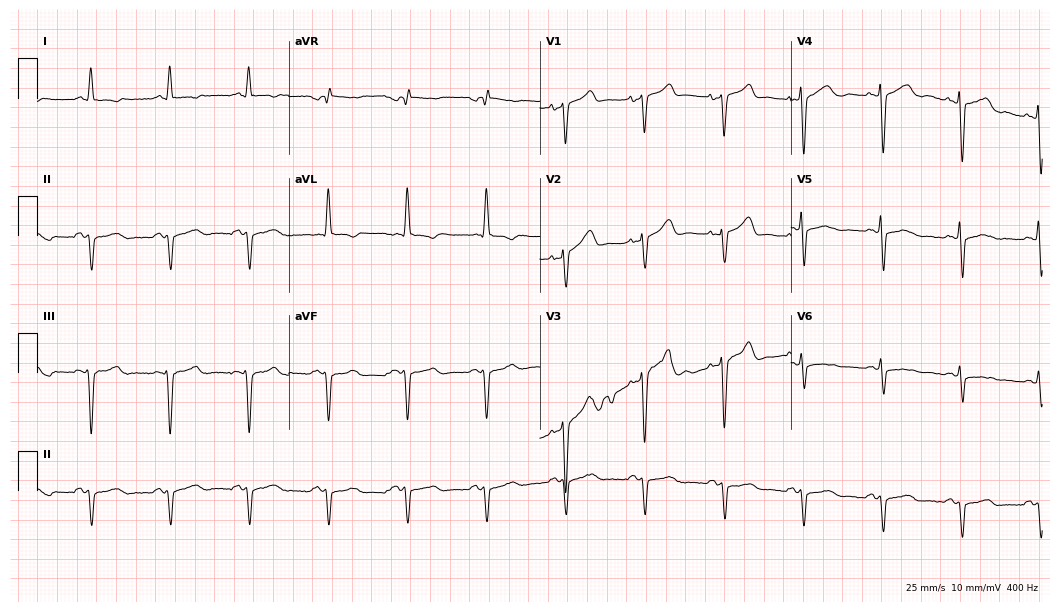
Standard 12-lead ECG recorded from a man, 57 years old. None of these six findings is recorded: first-degree AV block, right bundle branch block (RBBB), left bundle branch block (LBBB), sinus bradycardia, atrial fibrillation (AF), sinus tachycardia.